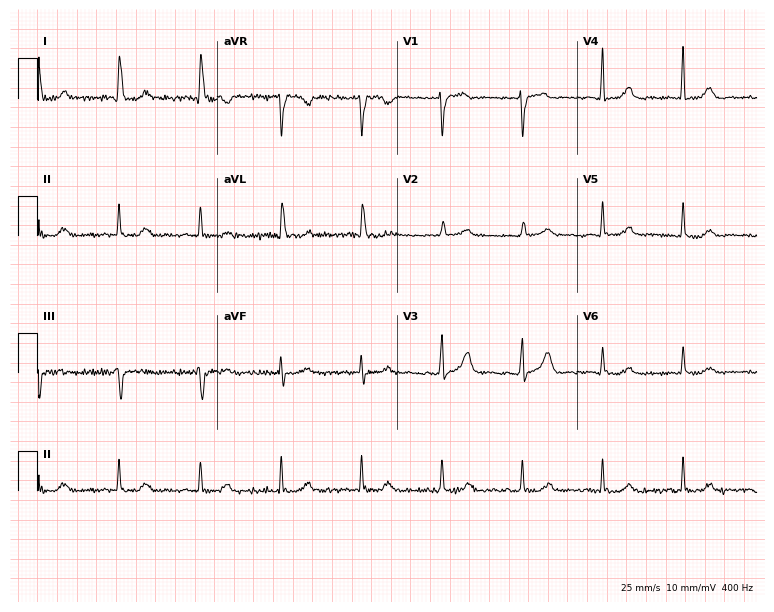
12-lead ECG from an 82-year-old woman. Labelled as a normal ECG.